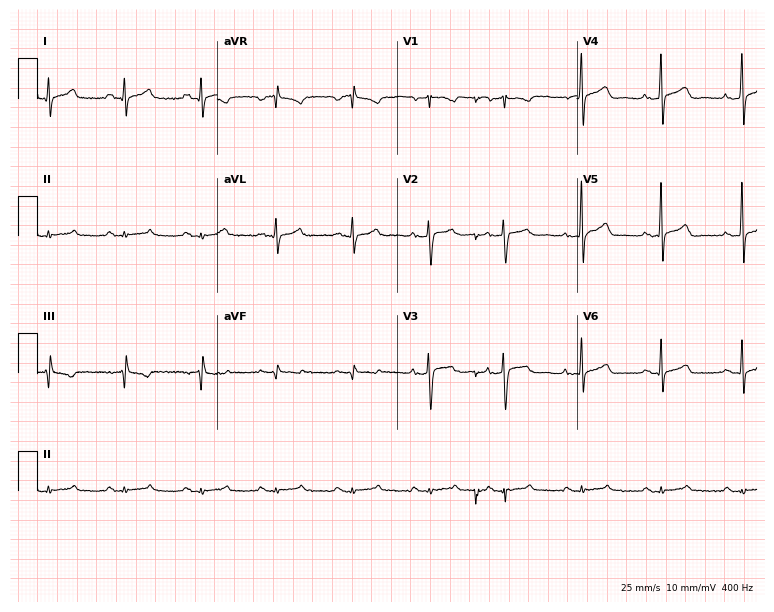
Resting 12-lead electrocardiogram (7.3-second recording at 400 Hz). Patient: a man, 37 years old. None of these six findings is recorded: first-degree AV block, right bundle branch block (RBBB), left bundle branch block (LBBB), sinus bradycardia, atrial fibrillation (AF), sinus tachycardia. Other findings, if any, are not listed.